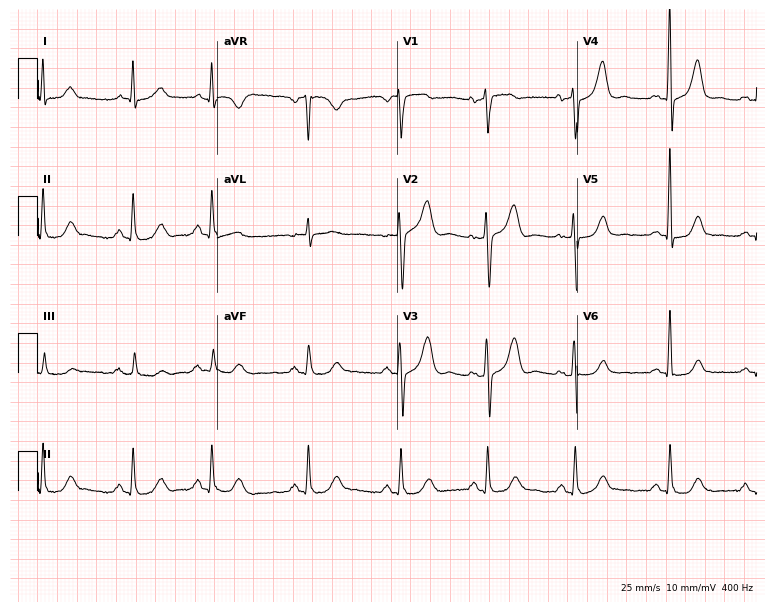
Resting 12-lead electrocardiogram. Patient: a woman, 68 years old. Read as a normal ECG.